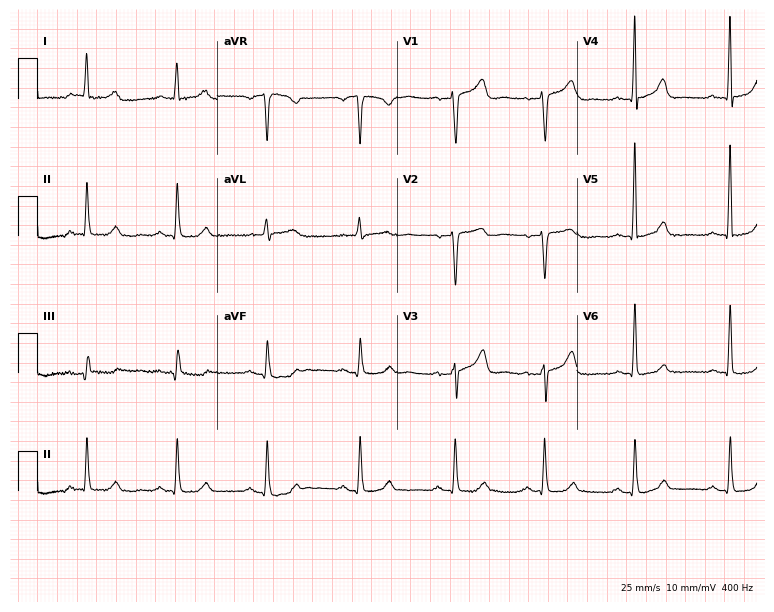
Standard 12-lead ECG recorded from a 70-year-old woman. Read as a normal ECG.